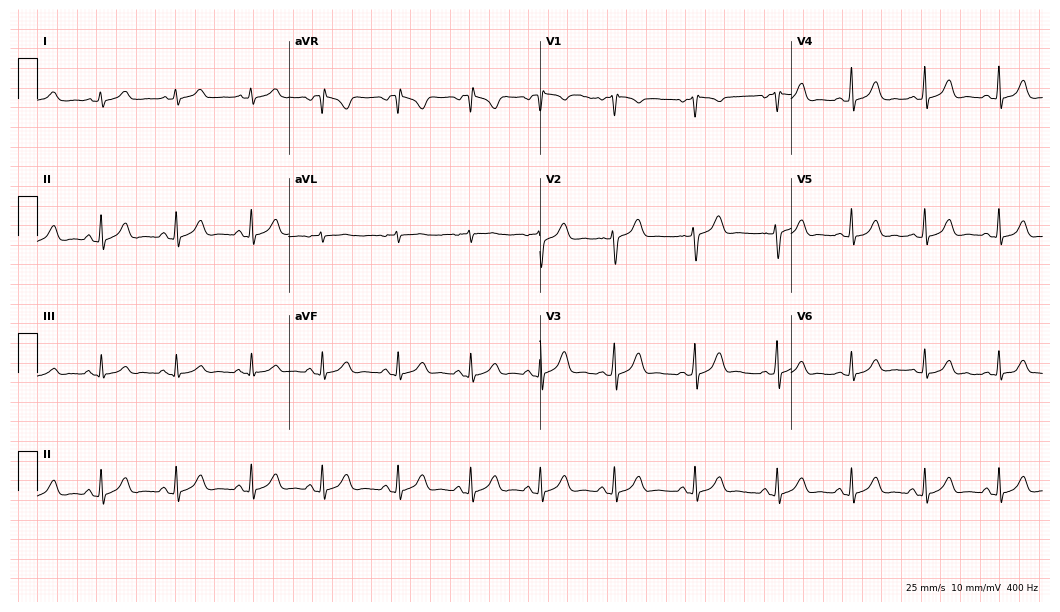
12-lead ECG from a 40-year-old female (10.2-second recording at 400 Hz). Recorded interpretation: within normal limits.